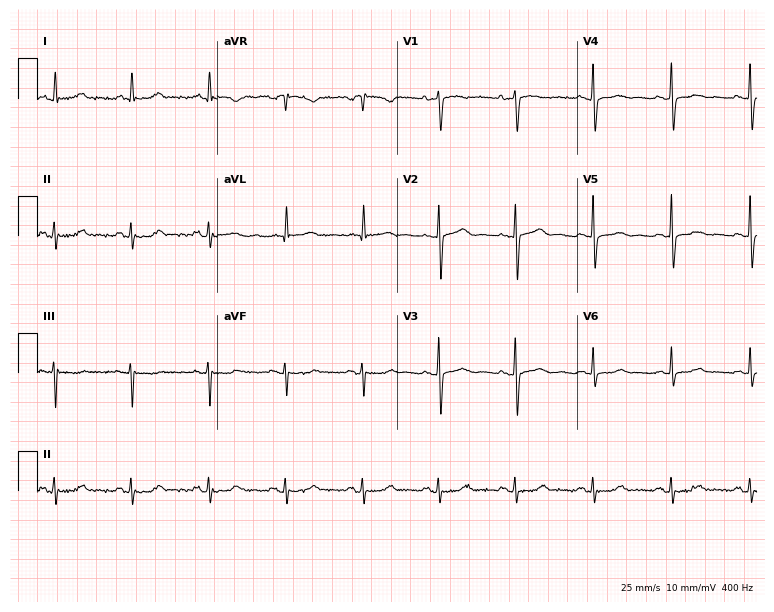
ECG — a 64-year-old female. Labelled as a normal ECG.